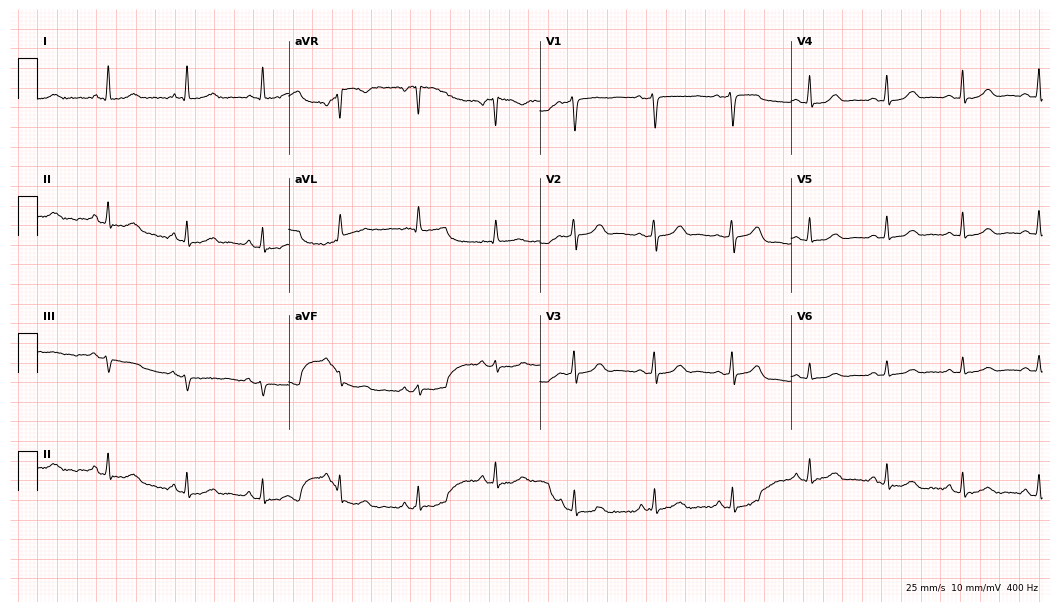
ECG (10.2-second recording at 400 Hz) — a female patient, 60 years old. Labelled as a normal ECG.